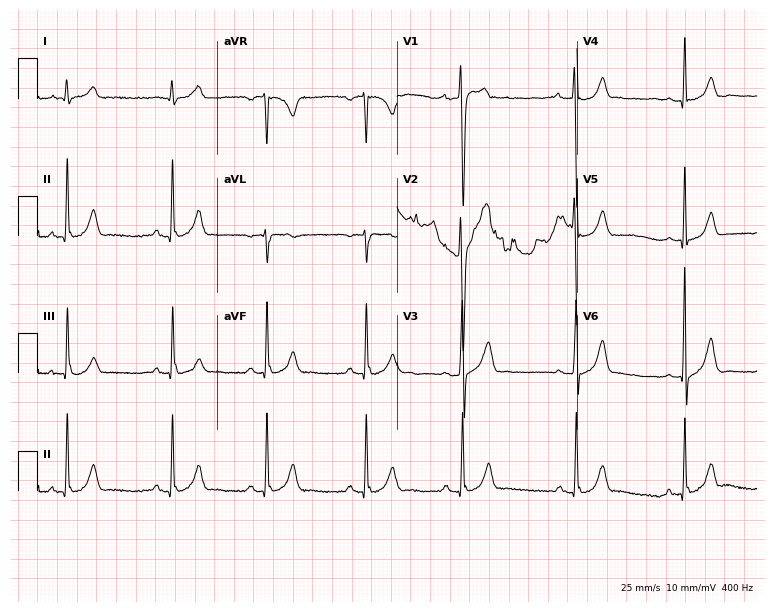
Electrocardiogram, a male, 27 years old. Of the six screened findings (first-degree AV block, right bundle branch block, left bundle branch block, sinus bradycardia, atrial fibrillation, sinus tachycardia), none is recorded. Findings outside these six are not listed.